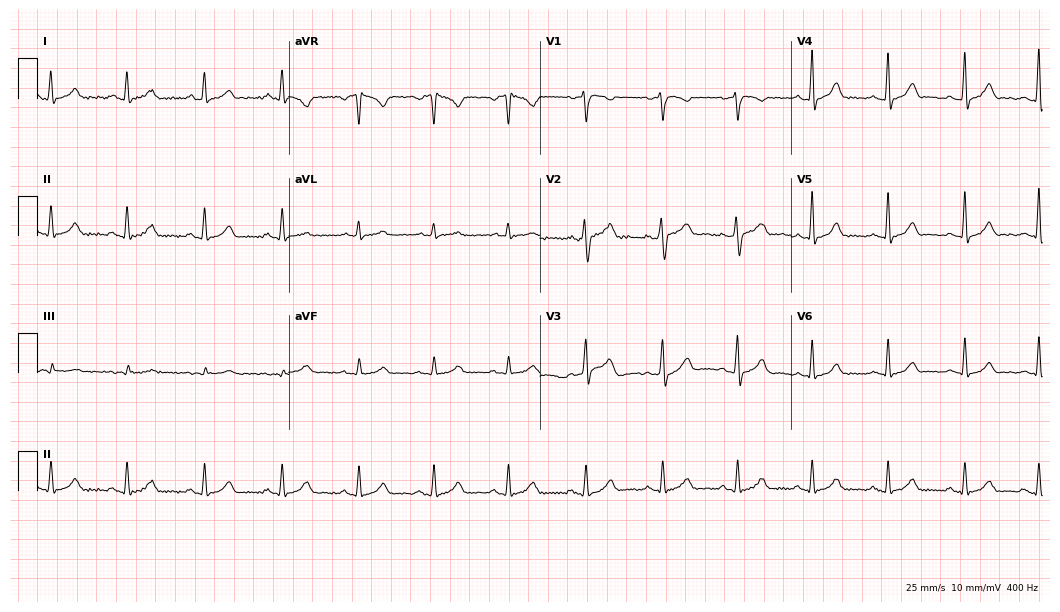
12-lead ECG (10.2-second recording at 400 Hz) from a man, 34 years old. Labelled as a normal ECG.